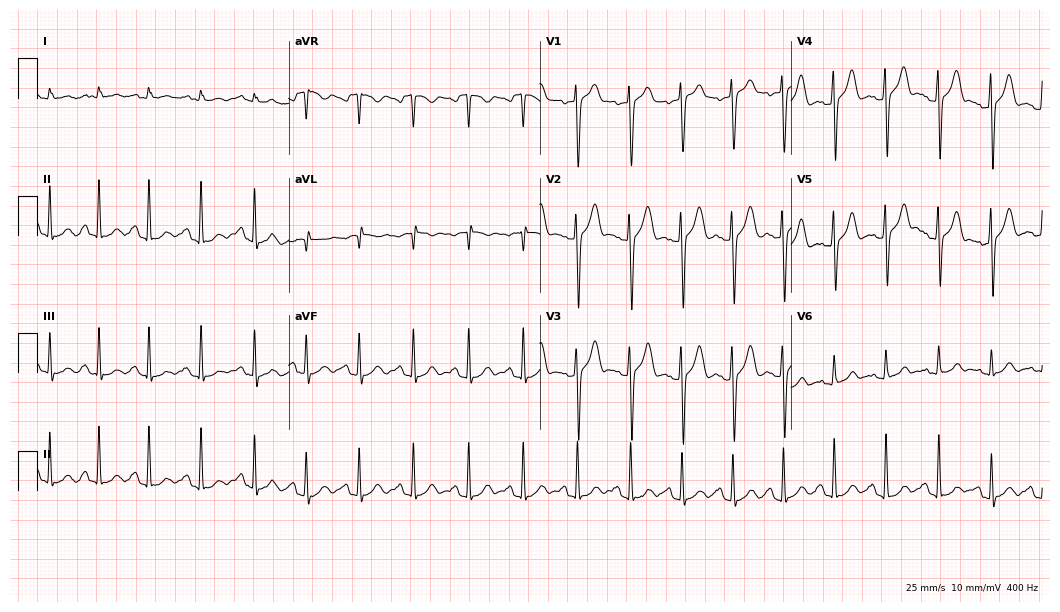
Standard 12-lead ECG recorded from a man, 17 years old. None of these six findings is recorded: first-degree AV block, right bundle branch block, left bundle branch block, sinus bradycardia, atrial fibrillation, sinus tachycardia.